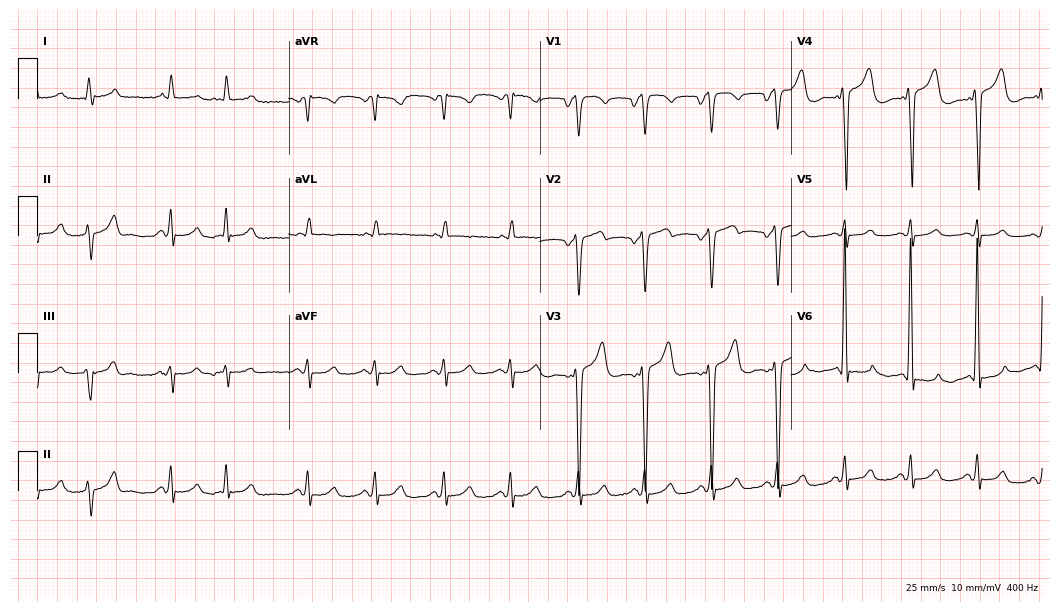
Resting 12-lead electrocardiogram (10.2-second recording at 400 Hz). Patient: a 74-year-old male. None of these six findings is recorded: first-degree AV block, right bundle branch block, left bundle branch block, sinus bradycardia, atrial fibrillation, sinus tachycardia. Findings outside these six are not listed.